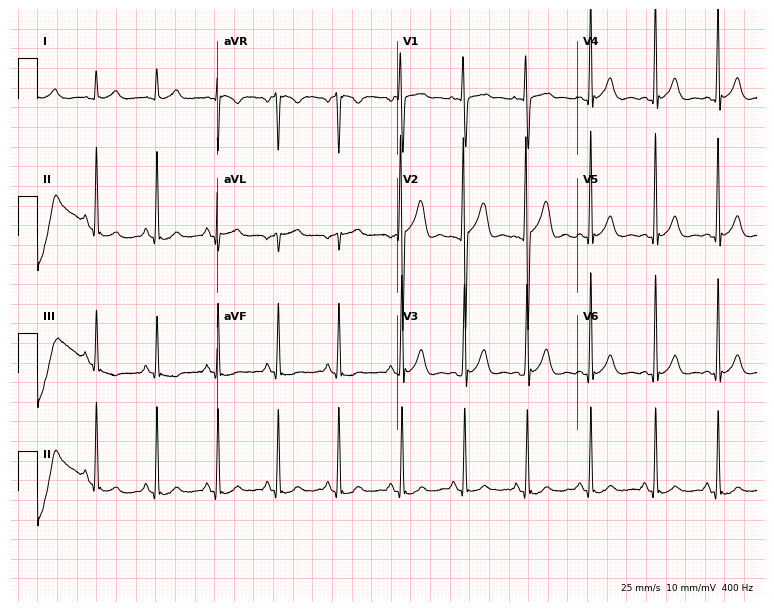
12-lead ECG from a 23-year-old male patient (7.3-second recording at 400 Hz). No first-degree AV block, right bundle branch block, left bundle branch block, sinus bradycardia, atrial fibrillation or sinus tachycardia recorded for this tracing. Other findings, if any, are not listed.